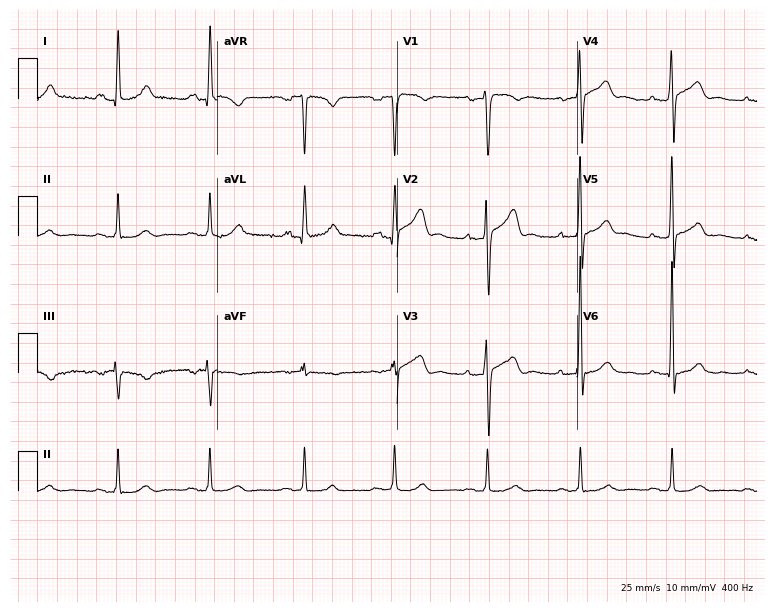
ECG (7.3-second recording at 400 Hz) — a male patient, 51 years old. Labelled as a normal ECG.